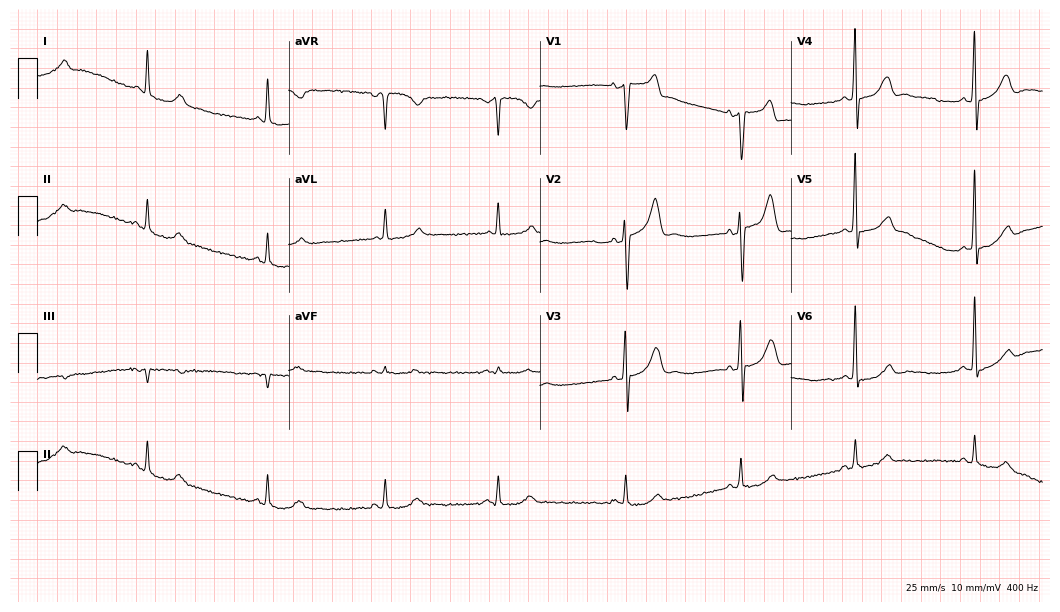
Electrocardiogram (10.2-second recording at 400 Hz), a male, 71 years old. Interpretation includes sinus bradycardia (a sinus rate of 50 beats per minute or less).